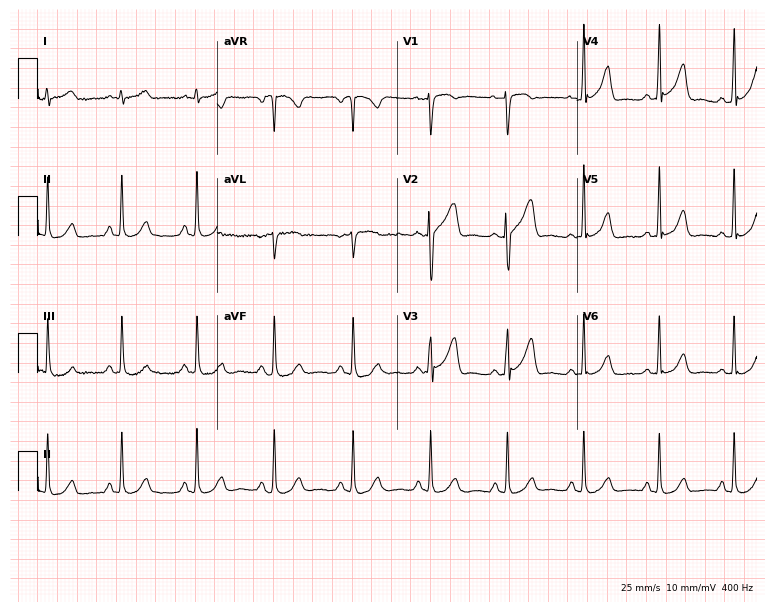
ECG — a 26-year-old man. Labelled as a normal ECG.